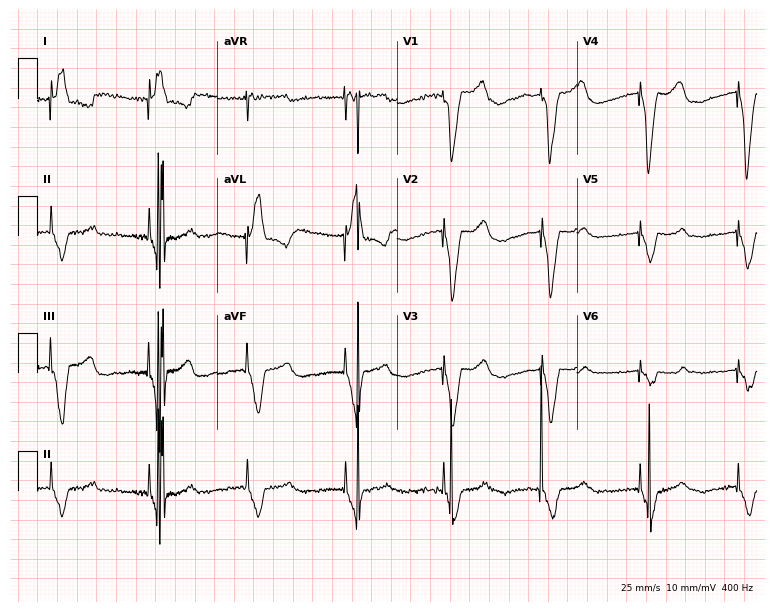
Standard 12-lead ECG recorded from an 80-year-old female patient. None of these six findings is recorded: first-degree AV block, right bundle branch block, left bundle branch block, sinus bradycardia, atrial fibrillation, sinus tachycardia.